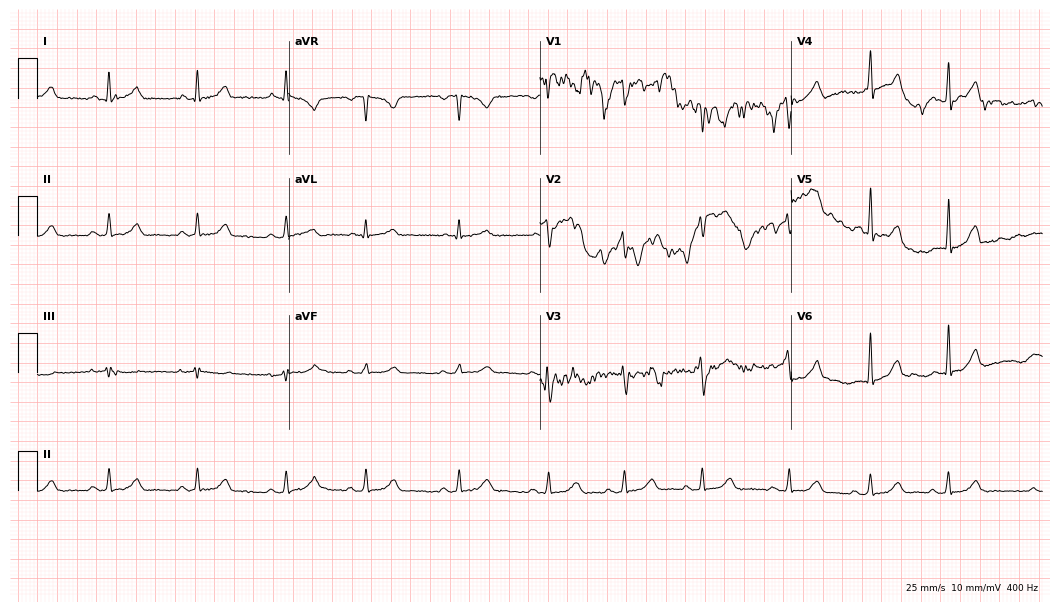
Resting 12-lead electrocardiogram (10.2-second recording at 400 Hz). Patient: a 79-year-old male. None of these six findings is recorded: first-degree AV block, right bundle branch block, left bundle branch block, sinus bradycardia, atrial fibrillation, sinus tachycardia. Other findings, if any, are not listed.